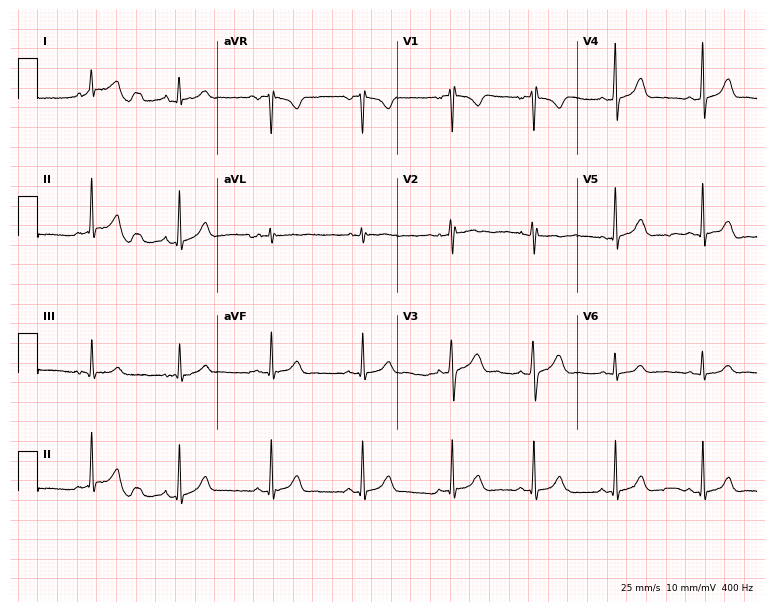
Resting 12-lead electrocardiogram. Patient: an 18-year-old female. None of these six findings is recorded: first-degree AV block, right bundle branch block (RBBB), left bundle branch block (LBBB), sinus bradycardia, atrial fibrillation (AF), sinus tachycardia. Only these six findings were labelled.